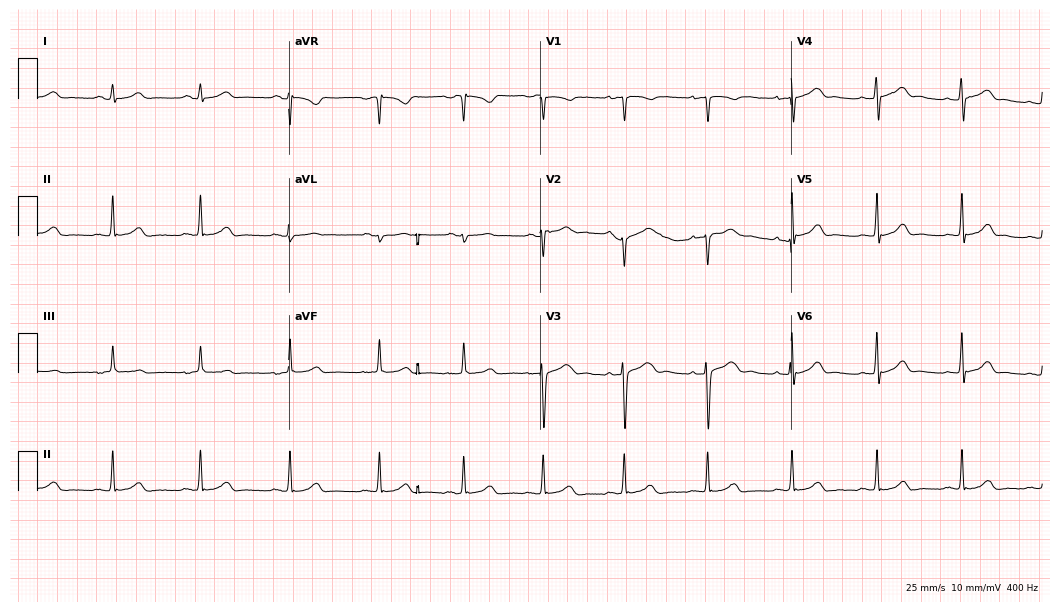
Standard 12-lead ECG recorded from a 20-year-old female patient. Read as a normal ECG.